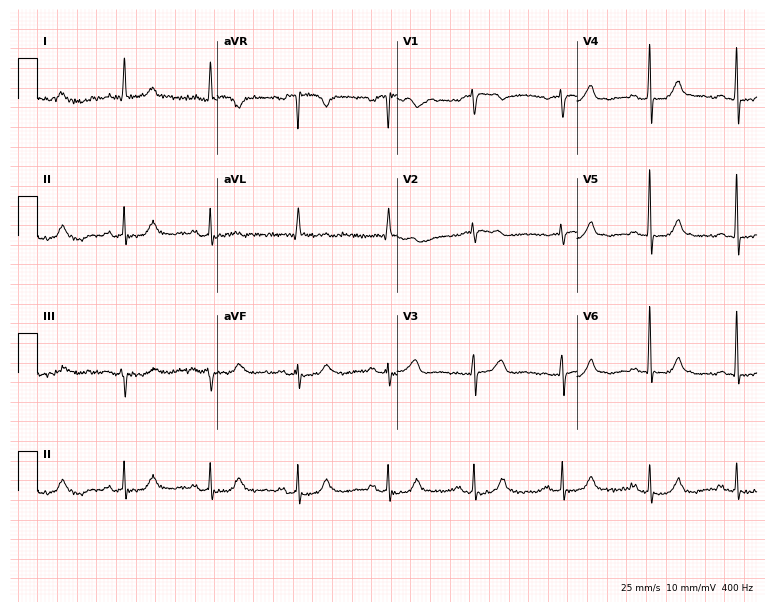
Standard 12-lead ECG recorded from a 62-year-old woman. None of these six findings is recorded: first-degree AV block, right bundle branch block, left bundle branch block, sinus bradycardia, atrial fibrillation, sinus tachycardia. Other findings, if any, are not listed.